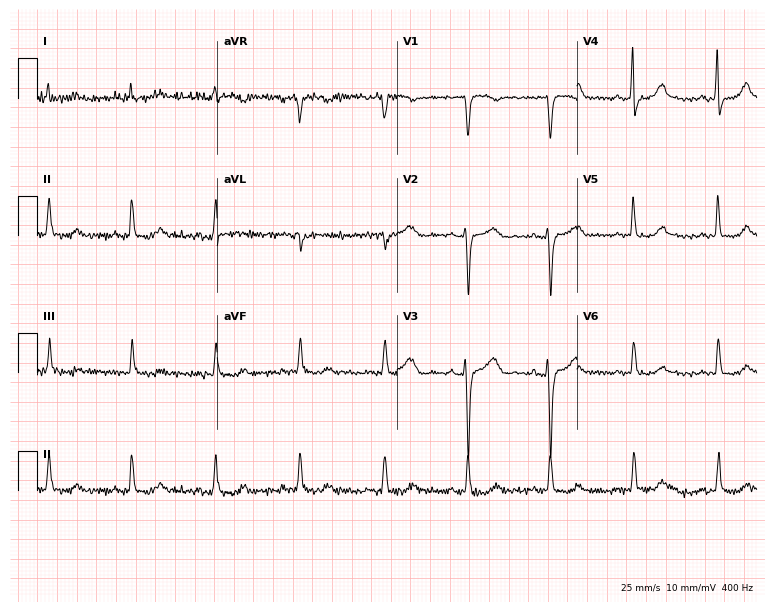
12-lead ECG from a woman, 50 years old. No first-degree AV block, right bundle branch block, left bundle branch block, sinus bradycardia, atrial fibrillation or sinus tachycardia recorded for this tracing. Other findings, if any, are not listed.